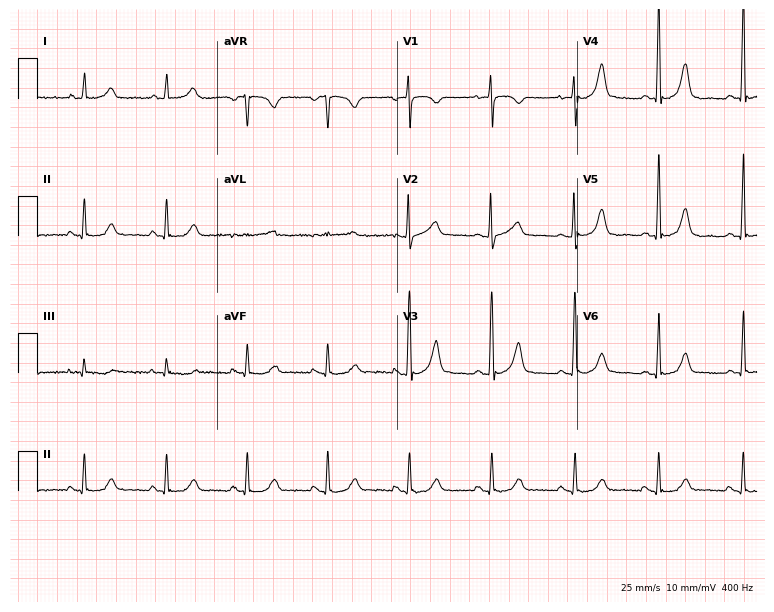
12-lead ECG from a female patient, 54 years old. Labelled as a normal ECG.